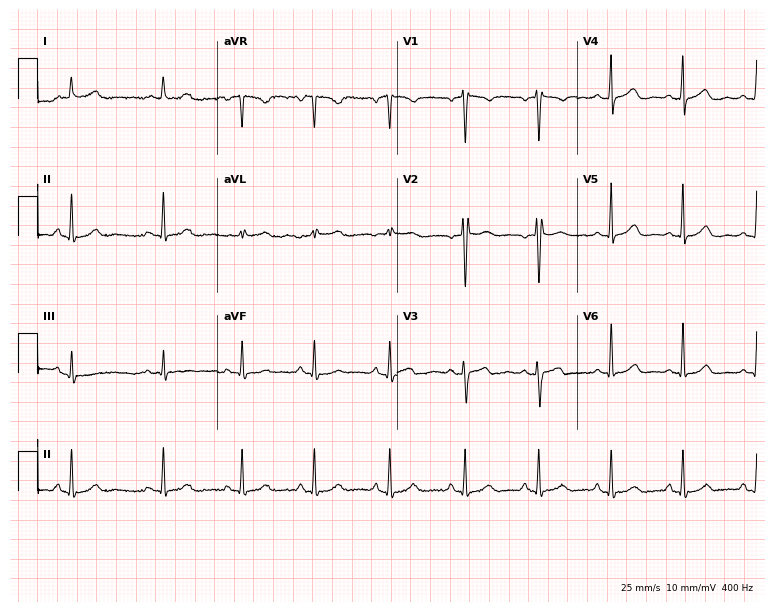
Resting 12-lead electrocardiogram (7.3-second recording at 400 Hz). Patient: a 28-year-old female. Read as a normal ECG.